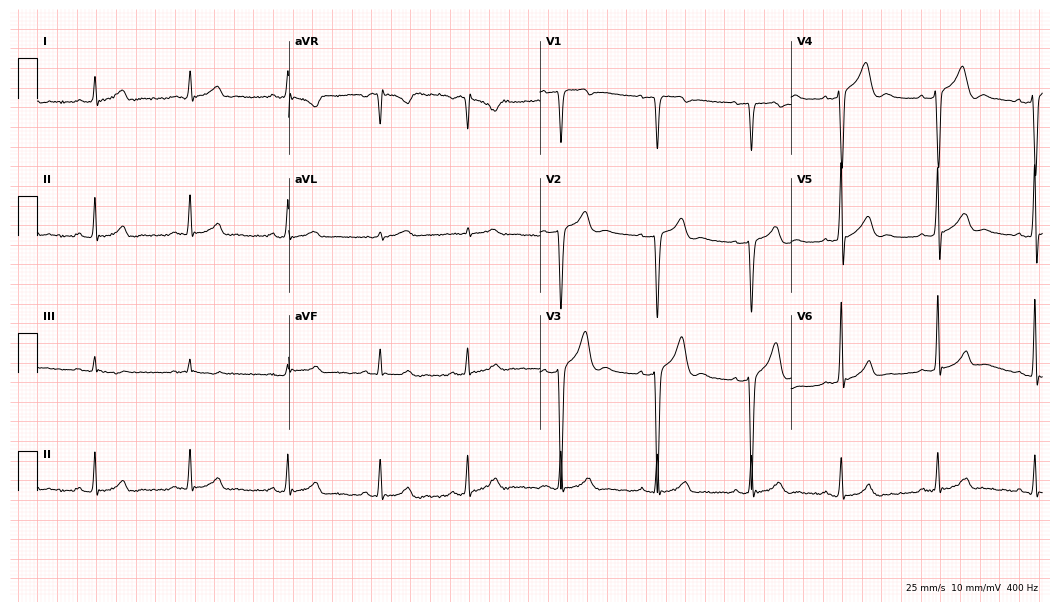
Electrocardiogram, a woman, 69 years old. Overall reading on record: normal ECG.